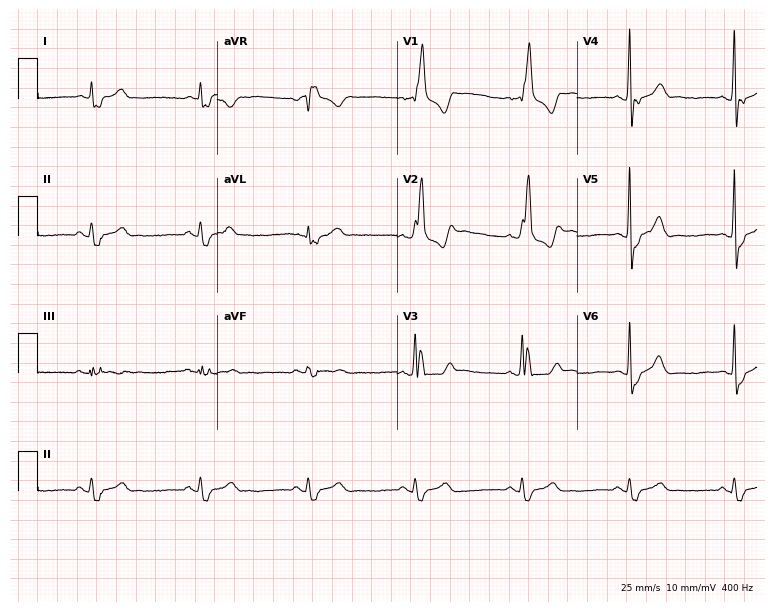
Standard 12-lead ECG recorded from a male, 62 years old (7.3-second recording at 400 Hz). The tracing shows right bundle branch block (RBBB).